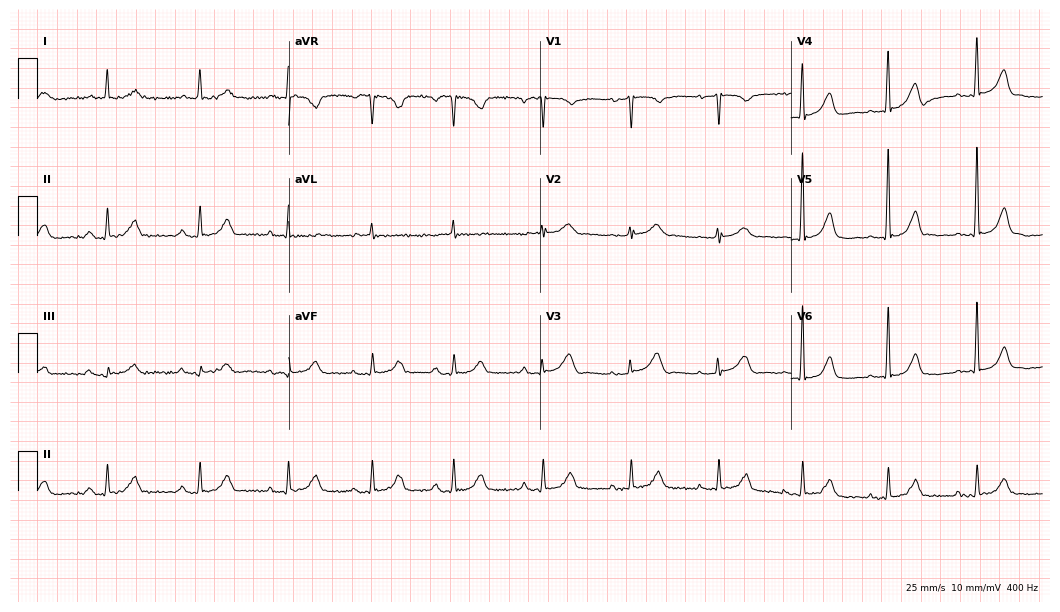
ECG — an 84-year-old woman. Labelled as a normal ECG.